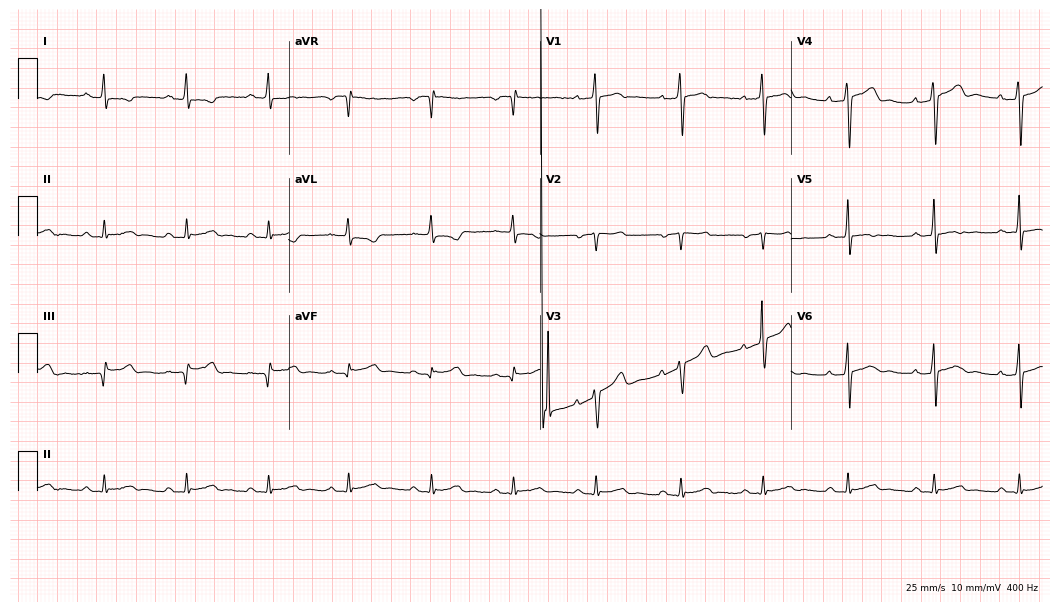
Resting 12-lead electrocardiogram (10.2-second recording at 400 Hz). Patient: a male, 52 years old. None of these six findings is recorded: first-degree AV block, right bundle branch block, left bundle branch block, sinus bradycardia, atrial fibrillation, sinus tachycardia. Only these six findings were labelled.